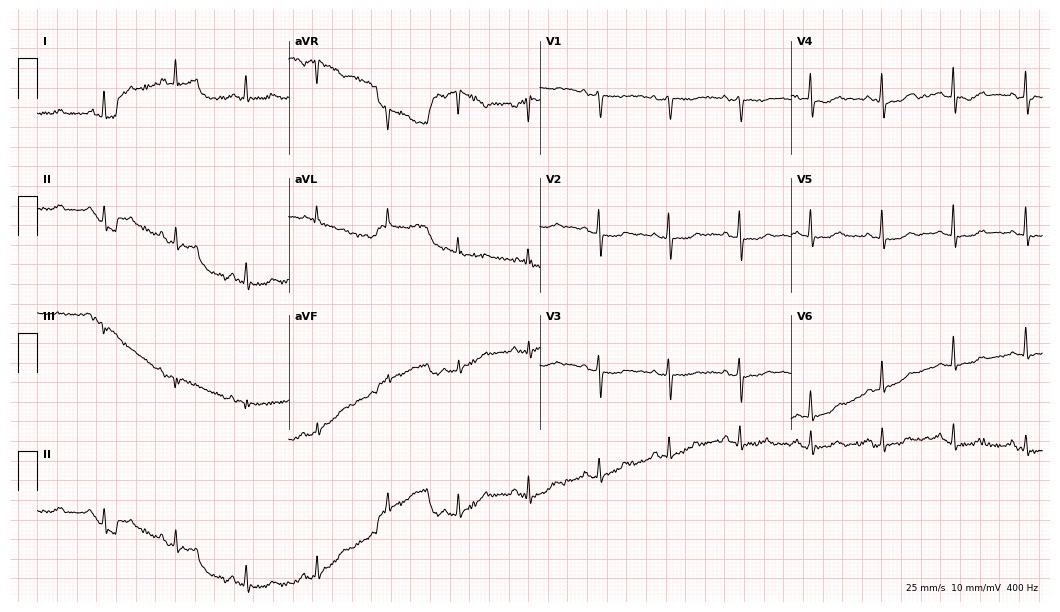
Resting 12-lead electrocardiogram. Patient: a female, 64 years old. None of these six findings is recorded: first-degree AV block, right bundle branch block (RBBB), left bundle branch block (LBBB), sinus bradycardia, atrial fibrillation (AF), sinus tachycardia. Findings outside these six are not listed.